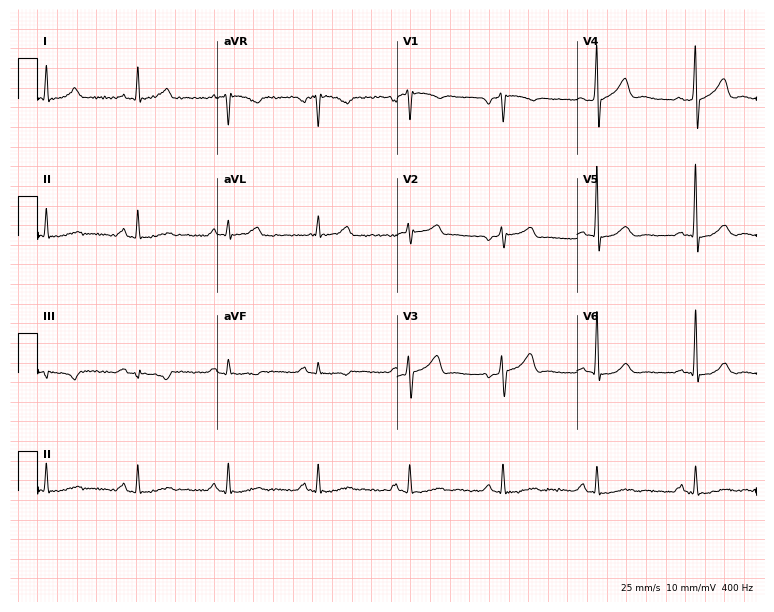
Electrocardiogram (7.3-second recording at 400 Hz), a male patient, 59 years old. Of the six screened findings (first-degree AV block, right bundle branch block (RBBB), left bundle branch block (LBBB), sinus bradycardia, atrial fibrillation (AF), sinus tachycardia), none is recorded.